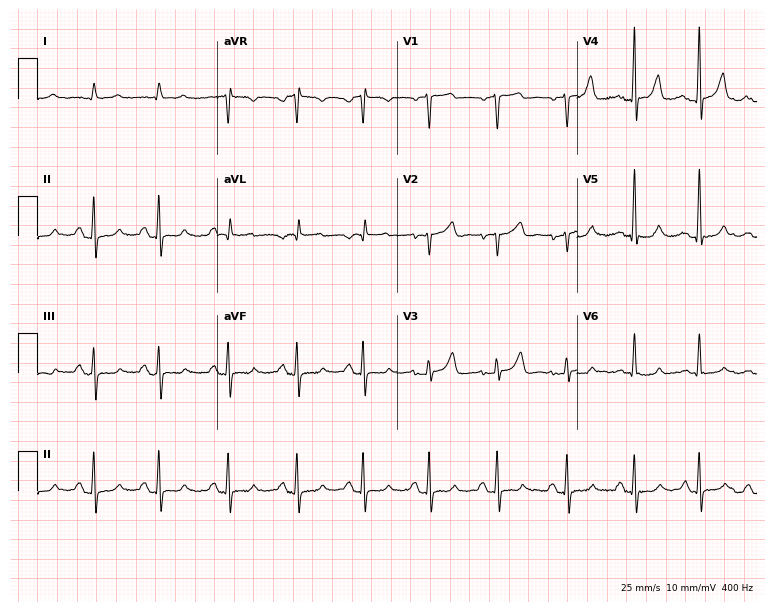
12-lead ECG from a woman, 66 years old. Screened for six findings — first-degree AV block, right bundle branch block, left bundle branch block, sinus bradycardia, atrial fibrillation, sinus tachycardia — none is recorded.